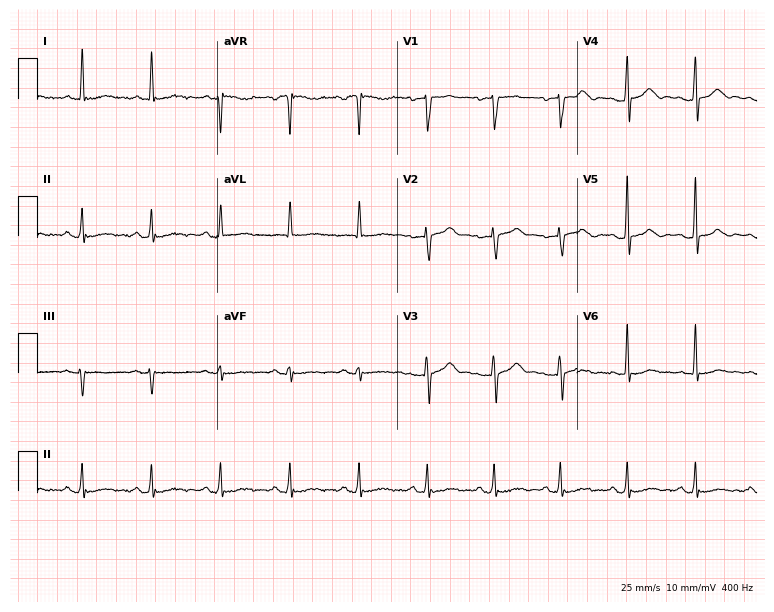
Electrocardiogram, a 57-year-old female. Overall reading on record: normal ECG.